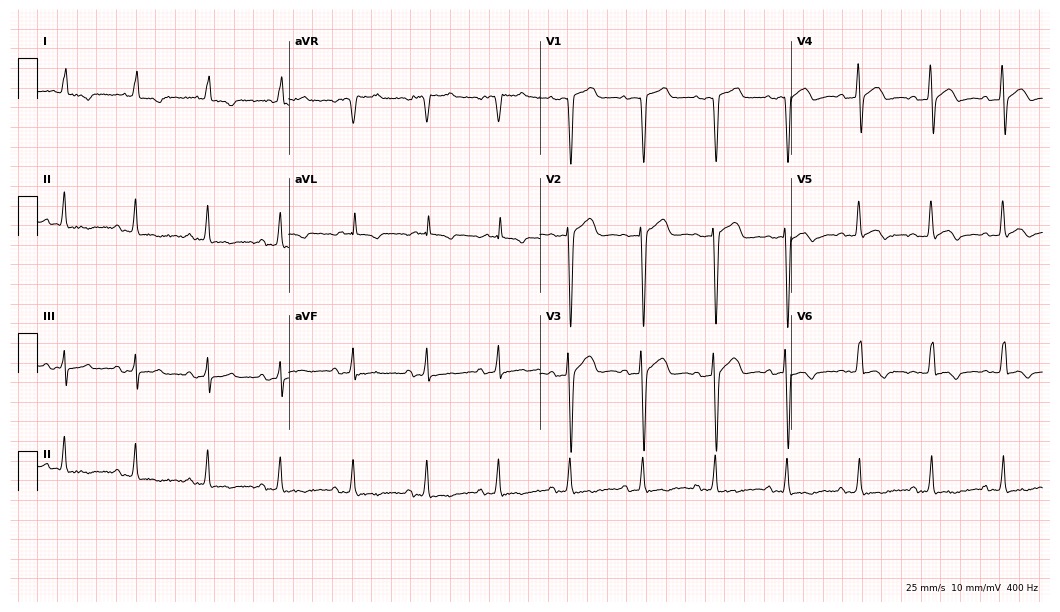
12-lead ECG from a 75-year-old male (10.2-second recording at 400 Hz). No first-degree AV block, right bundle branch block (RBBB), left bundle branch block (LBBB), sinus bradycardia, atrial fibrillation (AF) or sinus tachycardia recorded for this tracing. Other findings, if any, are not listed.